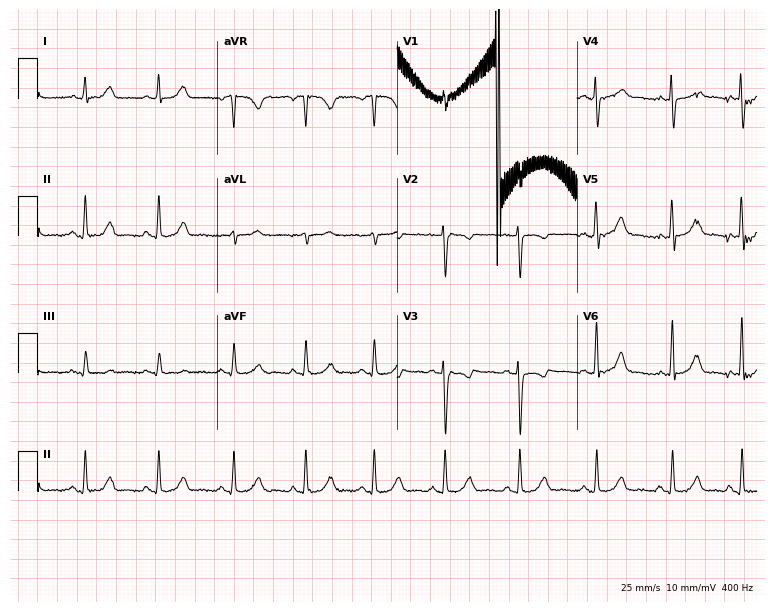
Standard 12-lead ECG recorded from a 30-year-old woman (7.3-second recording at 400 Hz). None of these six findings is recorded: first-degree AV block, right bundle branch block (RBBB), left bundle branch block (LBBB), sinus bradycardia, atrial fibrillation (AF), sinus tachycardia.